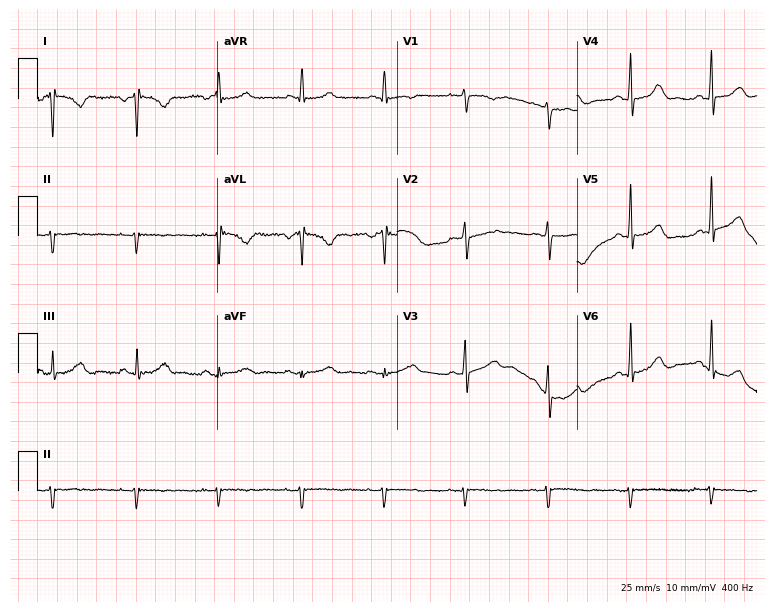
12-lead ECG (7.3-second recording at 400 Hz) from a 47-year-old female patient. Screened for six findings — first-degree AV block, right bundle branch block (RBBB), left bundle branch block (LBBB), sinus bradycardia, atrial fibrillation (AF), sinus tachycardia — none is recorded. Only these six findings were labelled.